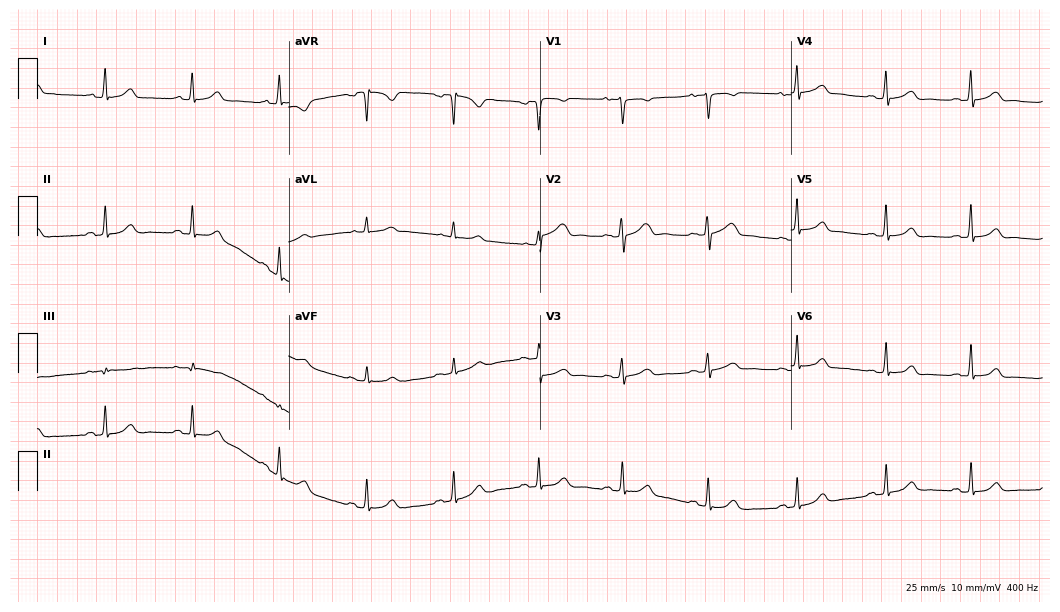
ECG (10.2-second recording at 400 Hz) — a 37-year-old woman. Labelled as a normal ECG.